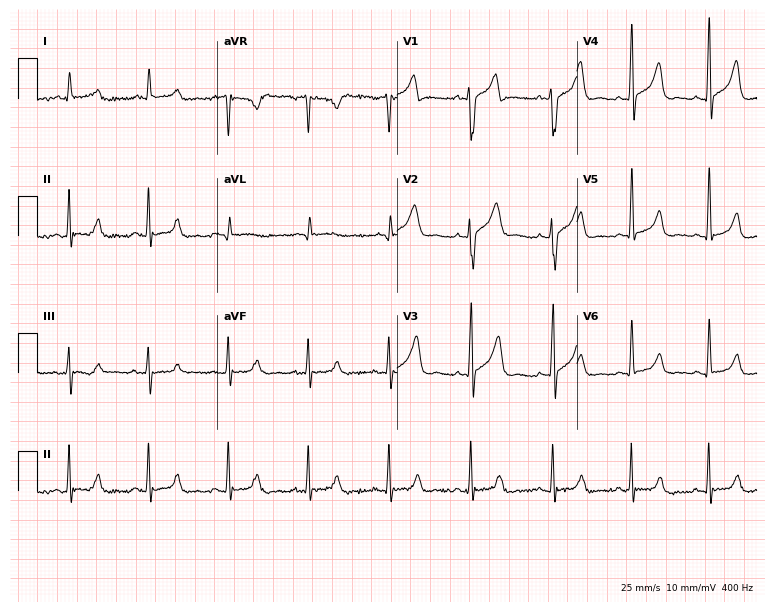
ECG — a 58-year-old man. Labelled as a normal ECG.